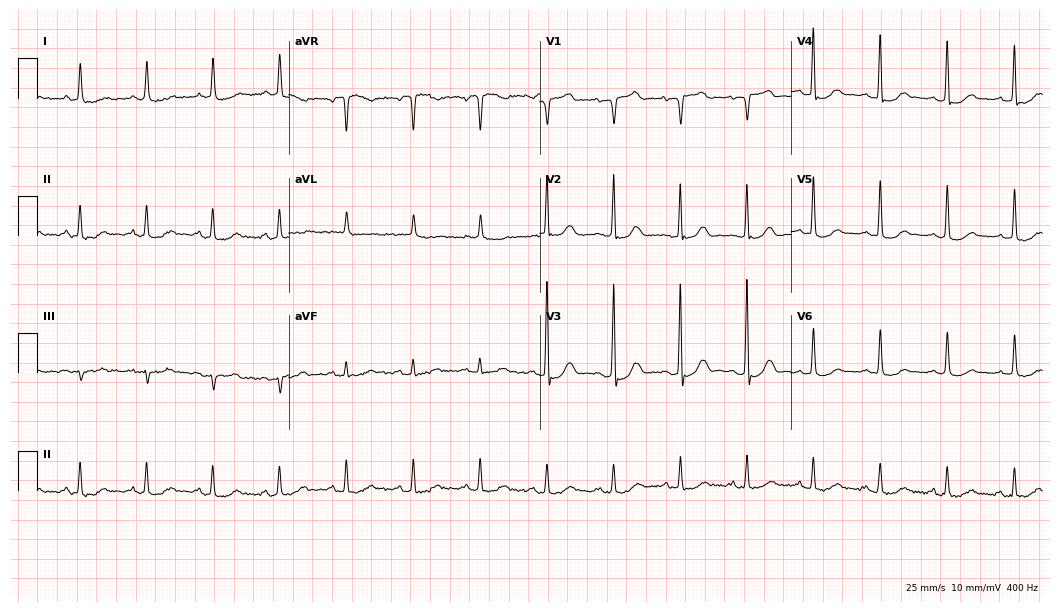
Electrocardiogram, a female, 81 years old. Of the six screened findings (first-degree AV block, right bundle branch block (RBBB), left bundle branch block (LBBB), sinus bradycardia, atrial fibrillation (AF), sinus tachycardia), none is recorded. Other findings, if any, are not listed.